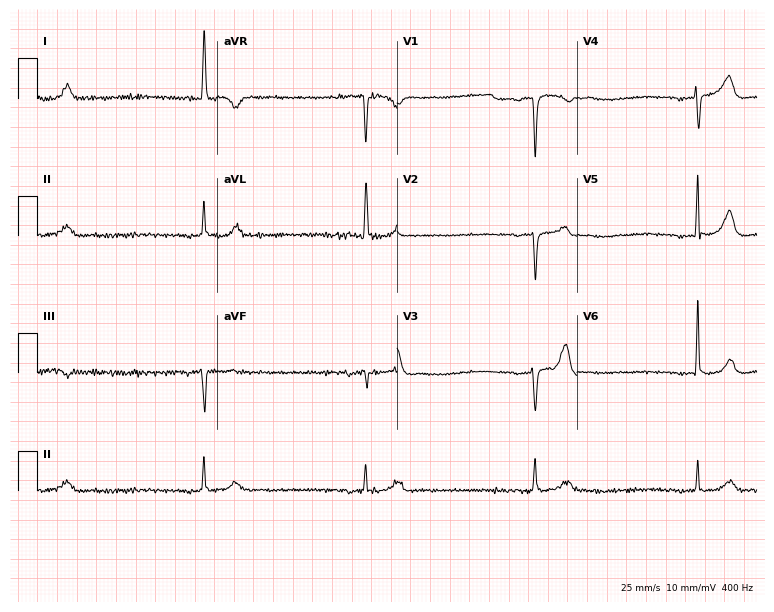
12-lead ECG (7.3-second recording at 400 Hz) from an 81-year-old female patient. Screened for six findings — first-degree AV block, right bundle branch block, left bundle branch block, sinus bradycardia, atrial fibrillation, sinus tachycardia — none is recorded. Findings outside these six are not listed.